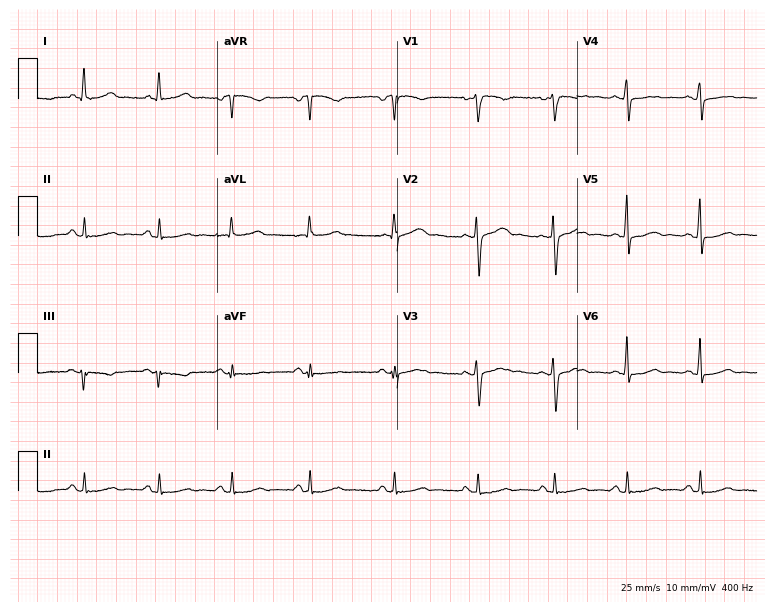
Standard 12-lead ECG recorded from a 47-year-old woman (7.3-second recording at 400 Hz). None of these six findings is recorded: first-degree AV block, right bundle branch block, left bundle branch block, sinus bradycardia, atrial fibrillation, sinus tachycardia. Other findings, if any, are not listed.